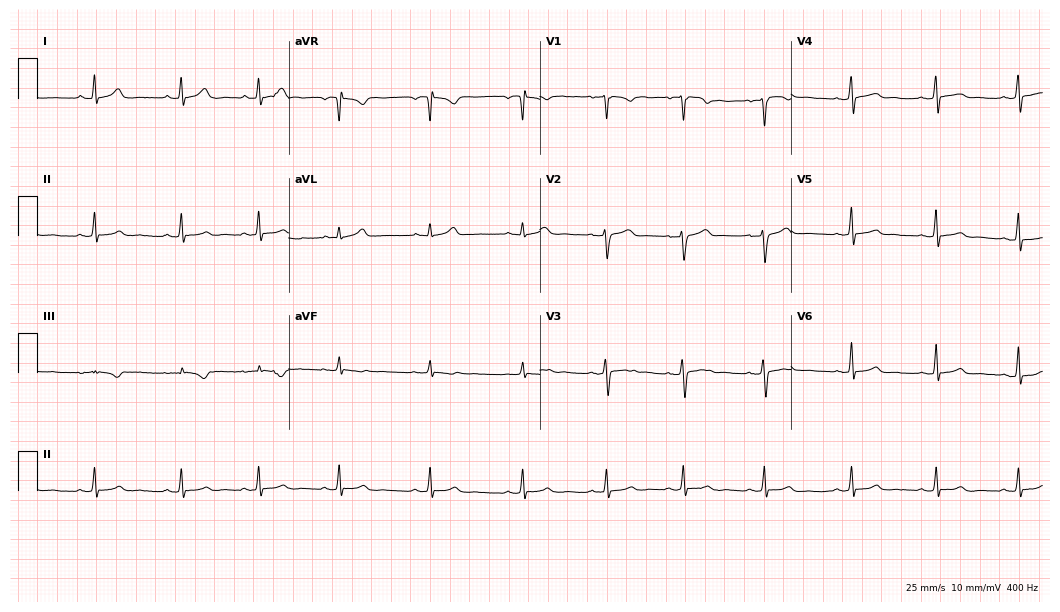
12-lead ECG from a female patient, 20 years old. Screened for six findings — first-degree AV block, right bundle branch block, left bundle branch block, sinus bradycardia, atrial fibrillation, sinus tachycardia — none is recorded. Findings outside these six are not listed.